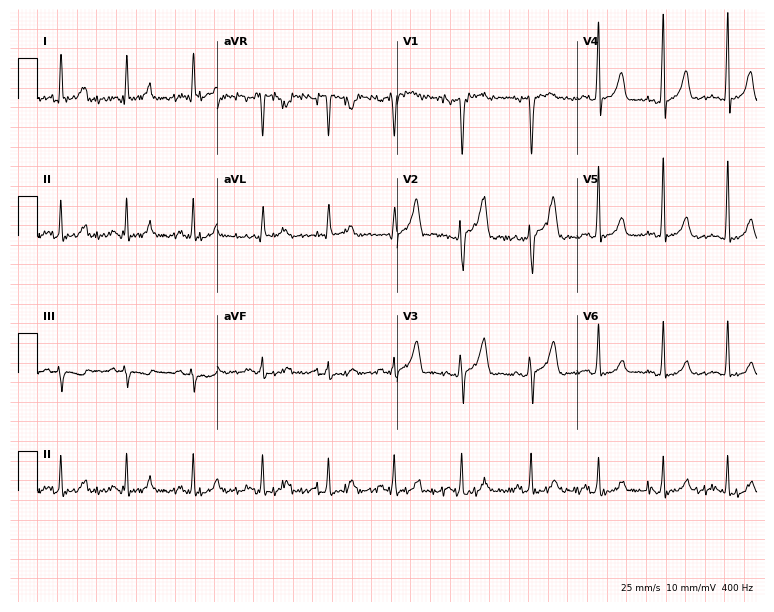
Electrocardiogram (7.3-second recording at 400 Hz), a 47-year-old man. Of the six screened findings (first-degree AV block, right bundle branch block, left bundle branch block, sinus bradycardia, atrial fibrillation, sinus tachycardia), none is recorded. Only these six findings were labelled.